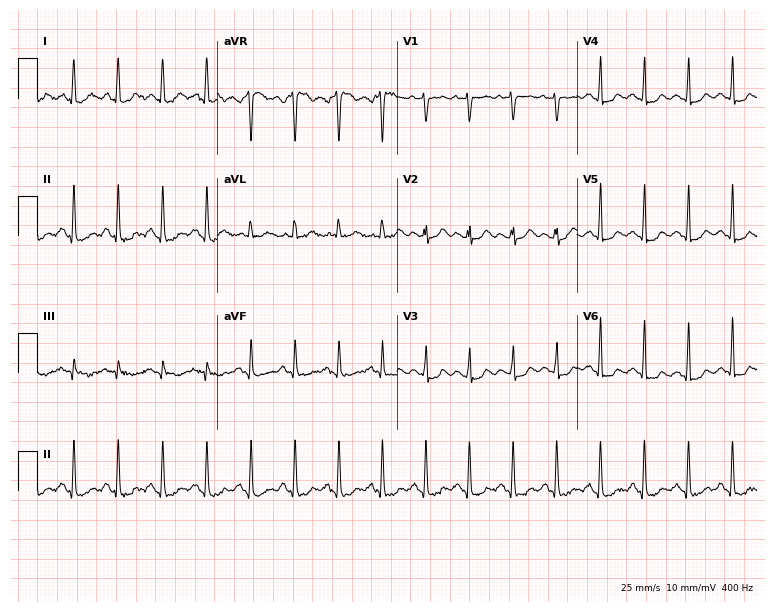
12-lead ECG from a woman, 52 years old. Shows sinus tachycardia (a sinus rate of 100 beats per minute or more).